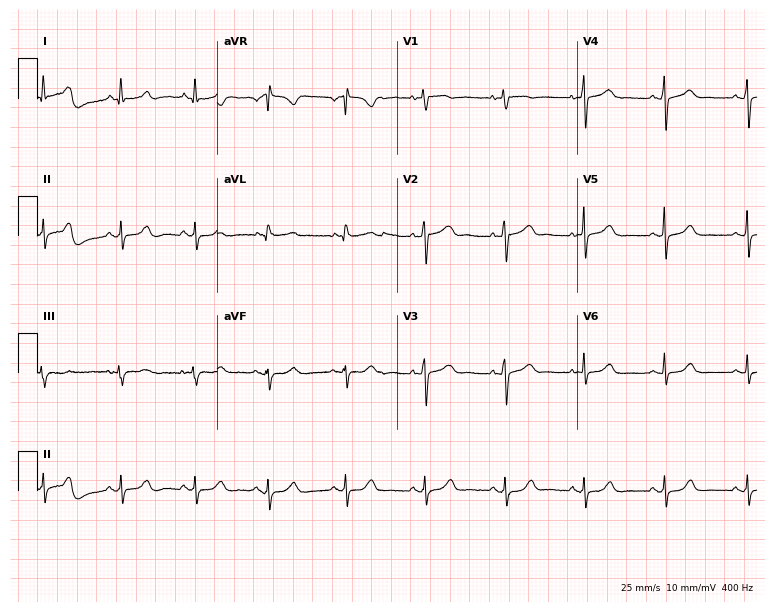
12-lead ECG (7.3-second recording at 400 Hz) from a 65-year-old woman. Labelled as a normal ECG.